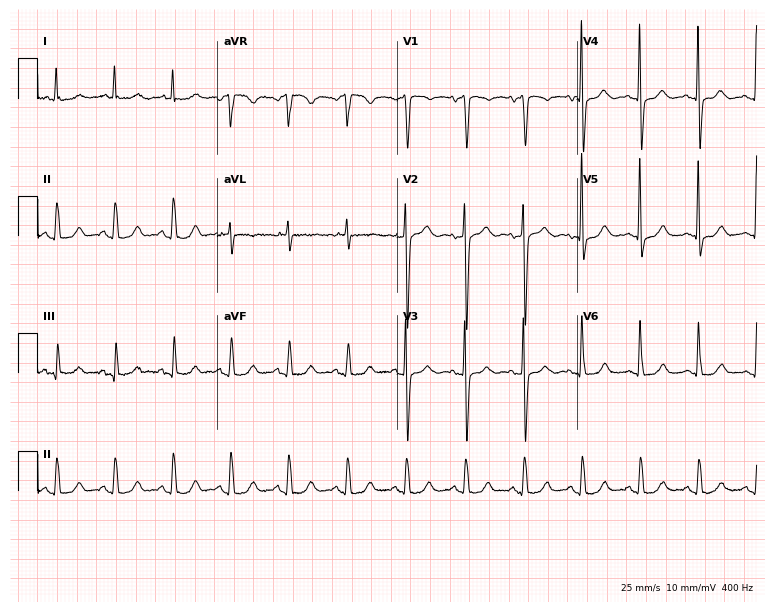
12-lead ECG (7.3-second recording at 400 Hz) from a female, 77 years old. Findings include sinus tachycardia (a sinus rate of 100 beats per minute or more).